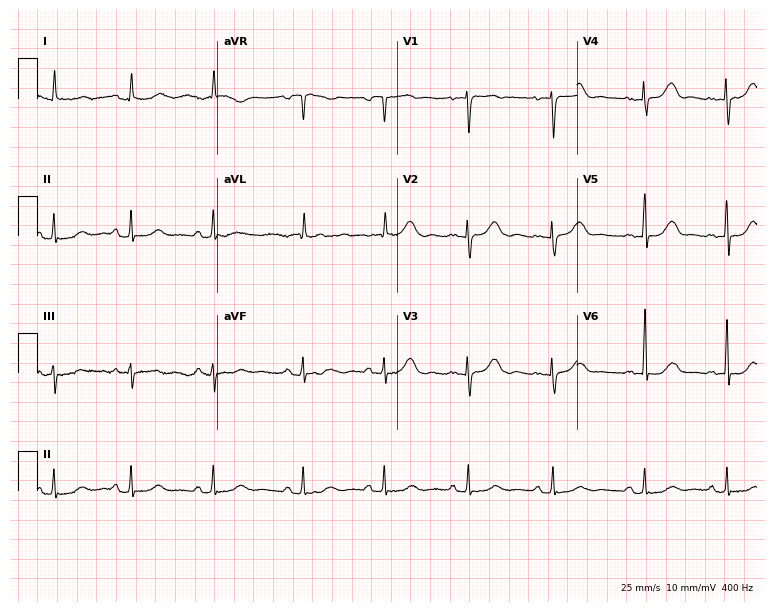
Electrocardiogram (7.3-second recording at 400 Hz), a 76-year-old female patient. Of the six screened findings (first-degree AV block, right bundle branch block (RBBB), left bundle branch block (LBBB), sinus bradycardia, atrial fibrillation (AF), sinus tachycardia), none is recorded. Other findings, if any, are not listed.